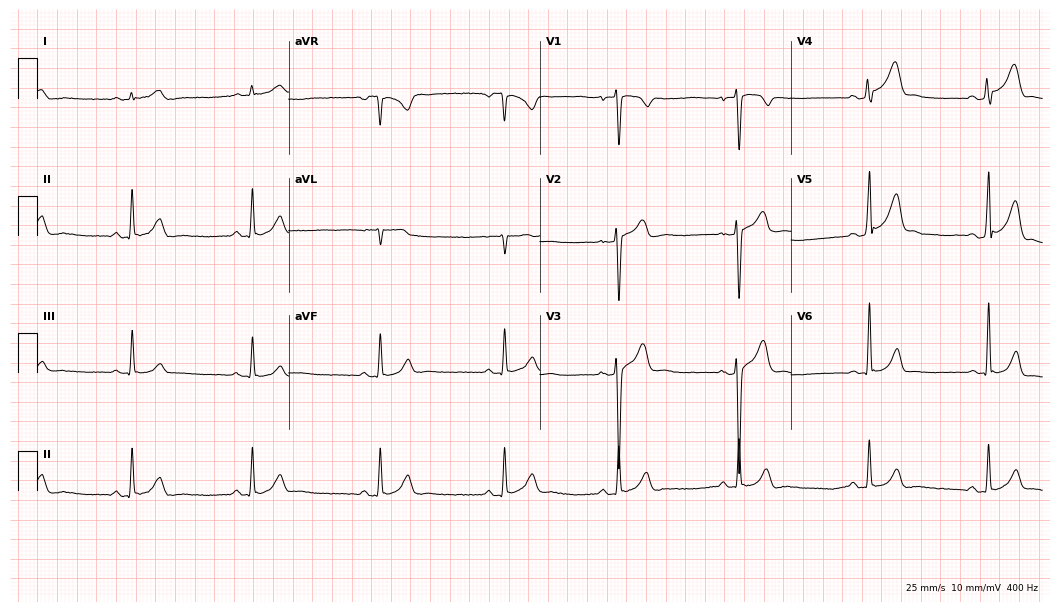
Resting 12-lead electrocardiogram. Patient: a male, 25 years old. None of these six findings is recorded: first-degree AV block, right bundle branch block, left bundle branch block, sinus bradycardia, atrial fibrillation, sinus tachycardia. Findings outside these six are not listed.